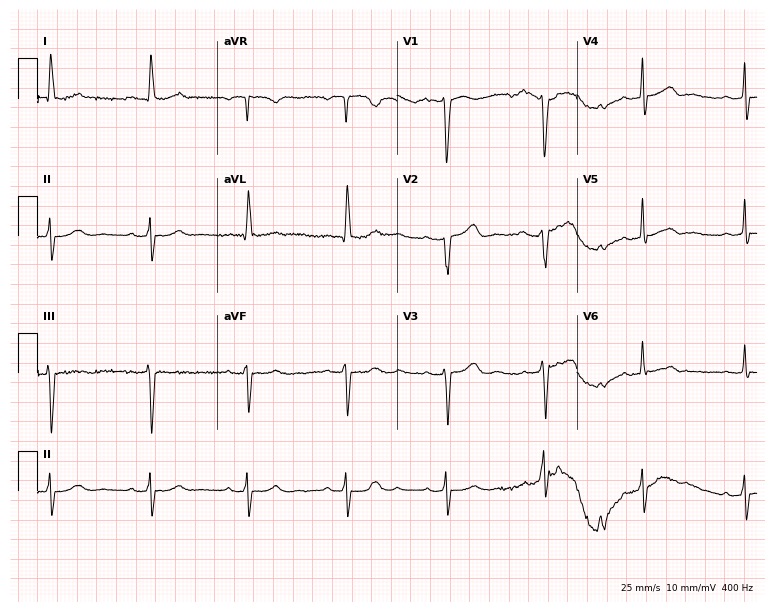
Electrocardiogram, a 70-year-old female. Of the six screened findings (first-degree AV block, right bundle branch block (RBBB), left bundle branch block (LBBB), sinus bradycardia, atrial fibrillation (AF), sinus tachycardia), none is recorded.